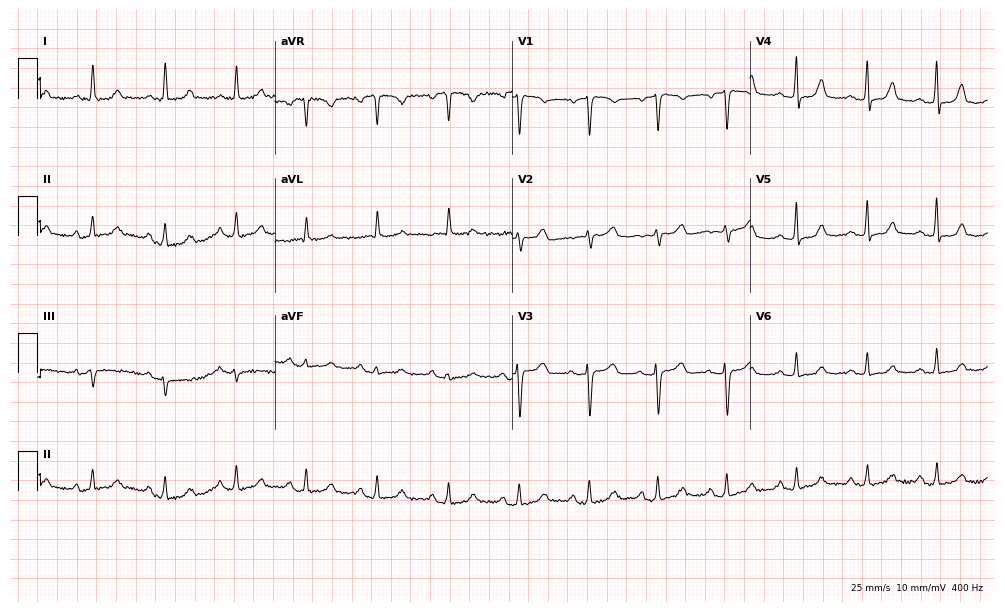
Standard 12-lead ECG recorded from a female patient, 71 years old. Read as a normal ECG.